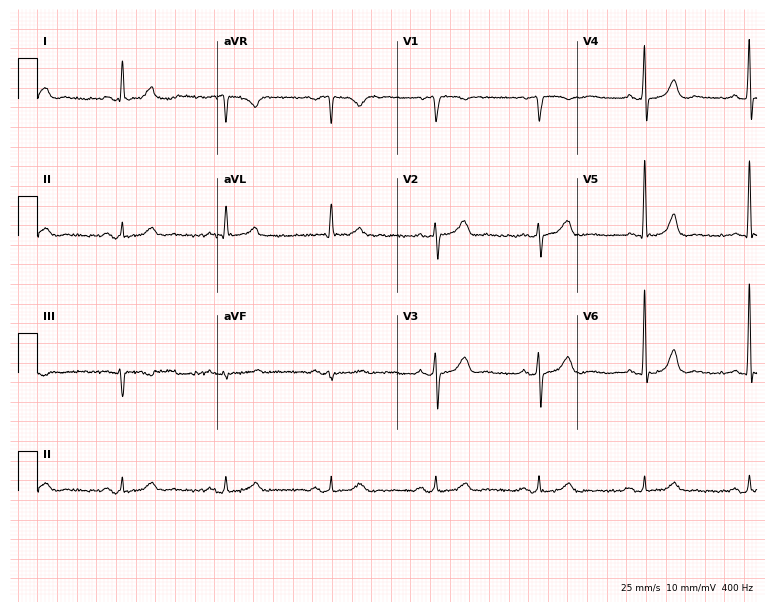
Standard 12-lead ECG recorded from a 72-year-old male. Read as a normal ECG.